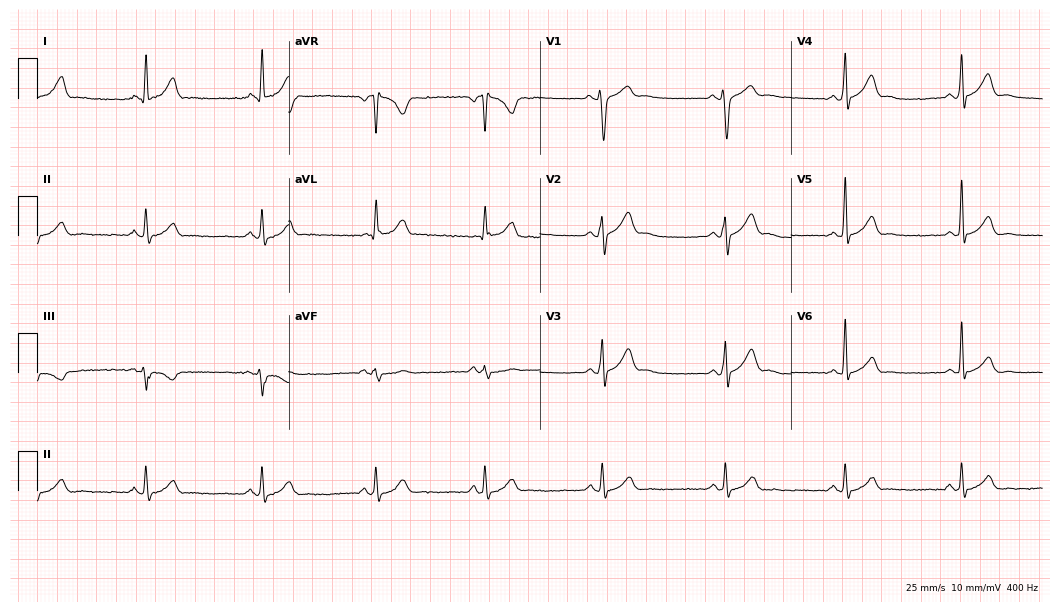
12-lead ECG from a 46-year-old female patient. Labelled as a normal ECG.